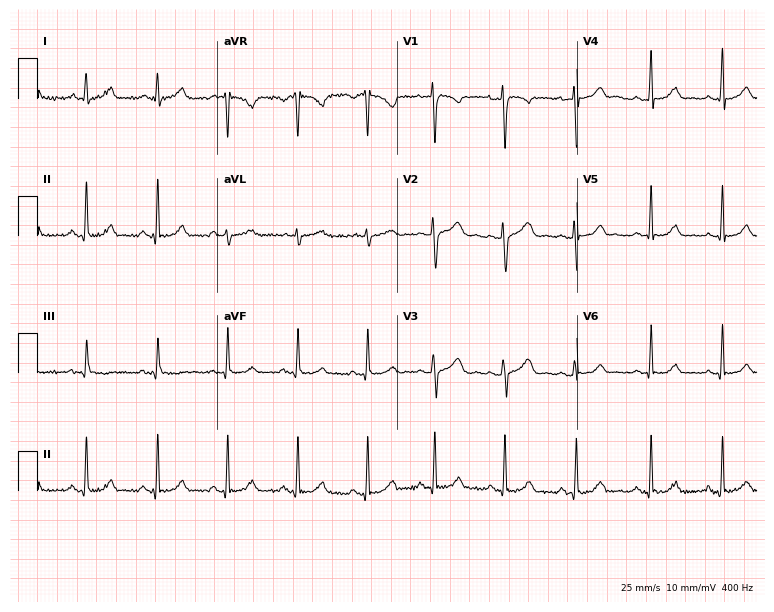
ECG (7.3-second recording at 400 Hz) — a female patient, 19 years old. Screened for six findings — first-degree AV block, right bundle branch block, left bundle branch block, sinus bradycardia, atrial fibrillation, sinus tachycardia — none is recorded.